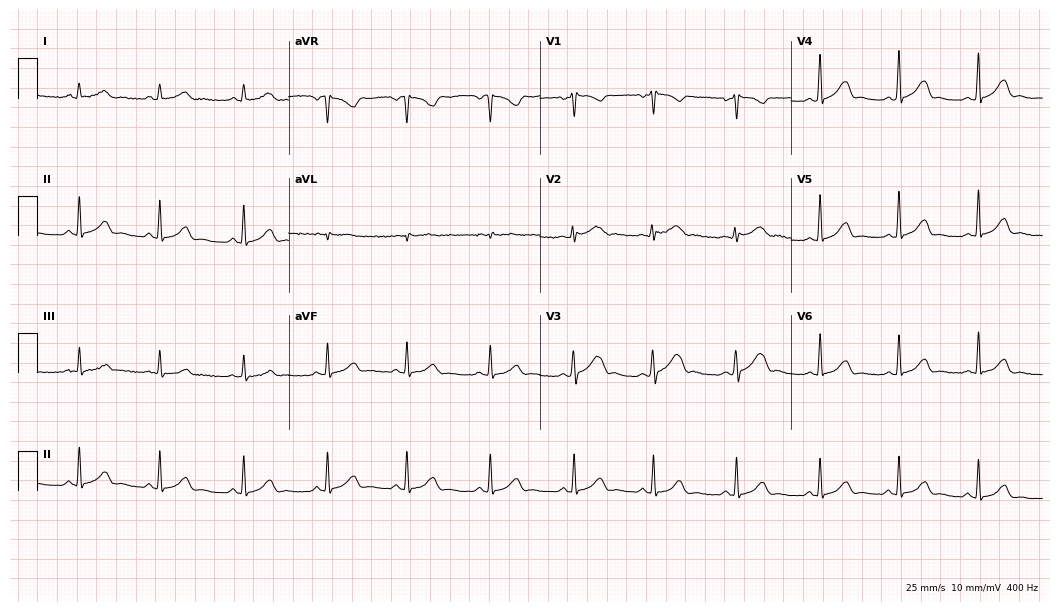
12-lead ECG (10.2-second recording at 400 Hz) from a female patient, 21 years old. Labelled as a normal ECG.